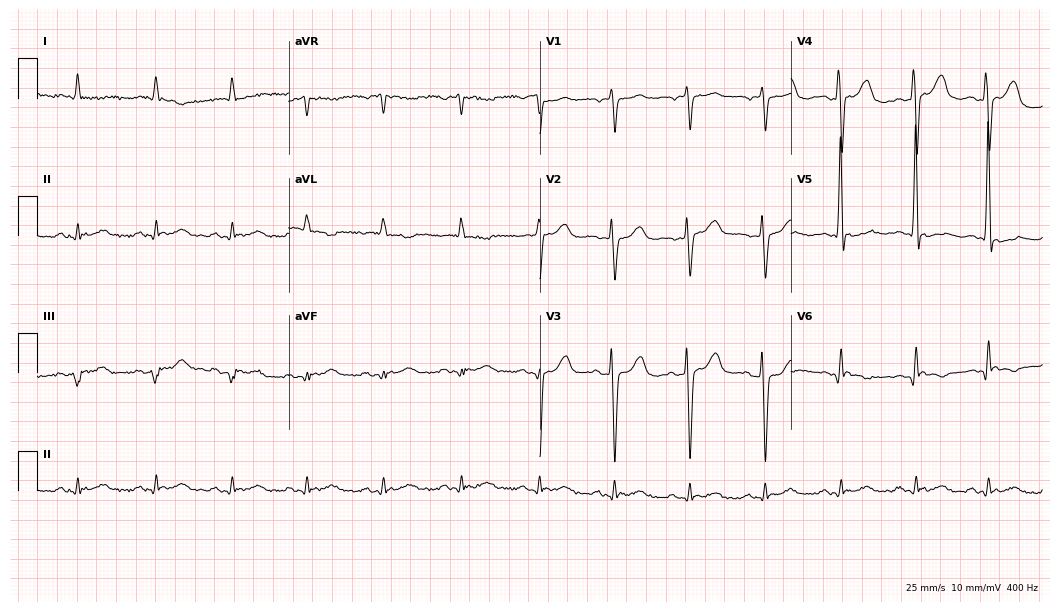
Electrocardiogram (10.2-second recording at 400 Hz), a woman, 81 years old. Of the six screened findings (first-degree AV block, right bundle branch block, left bundle branch block, sinus bradycardia, atrial fibrillation, sinus tachycardia), none is recorded.